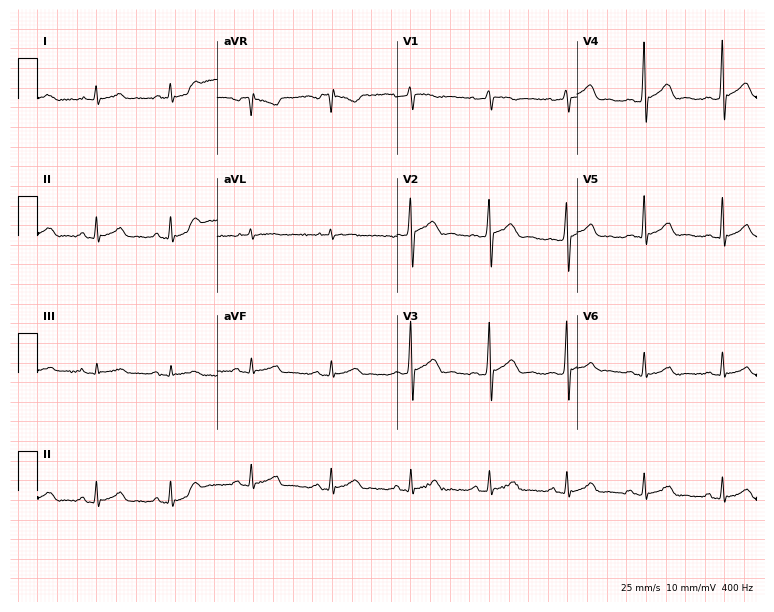
12-lead ECG from a male patient, 35 years old. Screened for six findings — first-degree AV block, right bundle branch block (RBBB), left bundle branch block (LBBB), sinus bradycardia, atrial fibrillation (AF), sinus tachycardia — none is recorded. Findings outside these six are not listed.